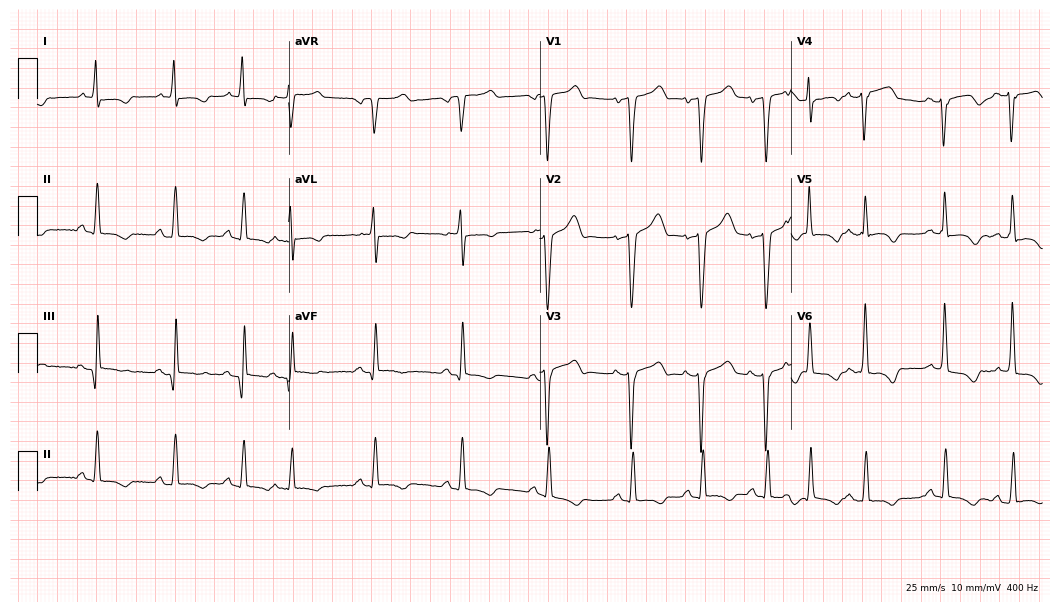
Electrocardiogram (10.2-second recording at 400 Hz), a man, 81 years old. Of the six screened findings (first-degree AV block, right bundle branch block (RBBB), left bundle branch block (LBBB), sinus bradycardia, atrial fibrillation (AF), sinus tachycardia), none is recorded. Only these six findings were labelled.